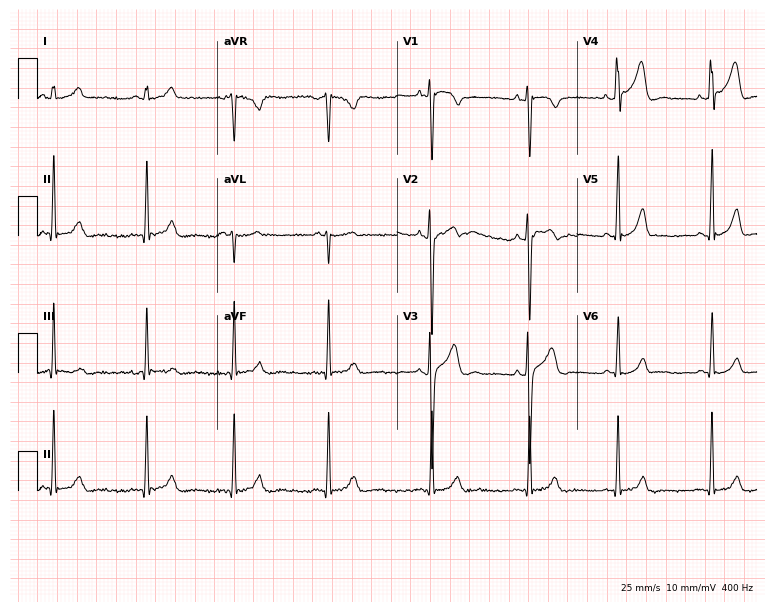
Resting 12-lead electrocardiogram. Patient: a male, 24 years old. None of these six findings is recorded: first-degree AV block, right bundle branch block, left bundle branch block, sinus bradycardia, atrial fibrillation, sinus tachycardia. Only these six findings were labelled.